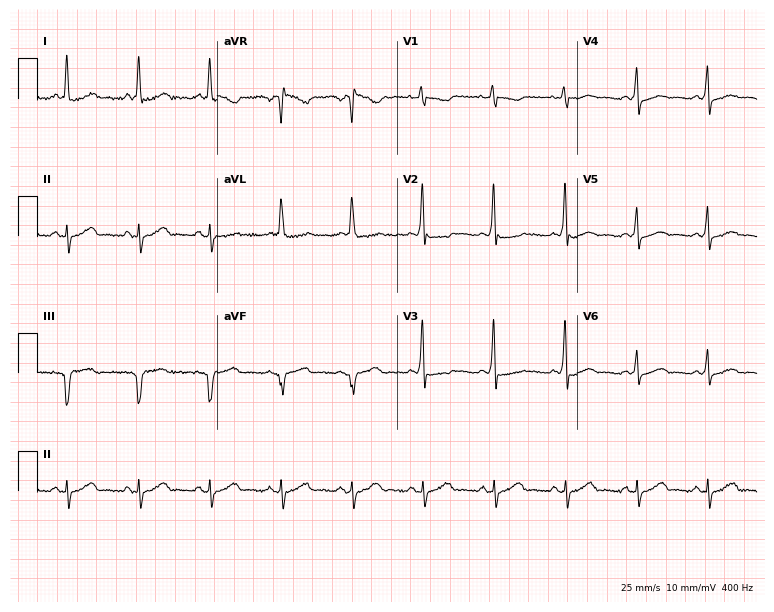
12-lead ECG from a female, 45 years old (7.3-second recording at 400 Hz). No first-degree AV block, right bundle branch block (RBBB), left bundle branch block (LBBB), sinus bradycardia, atrial fibrillation (AF) or sinus tachycardia recorded for this tracing.